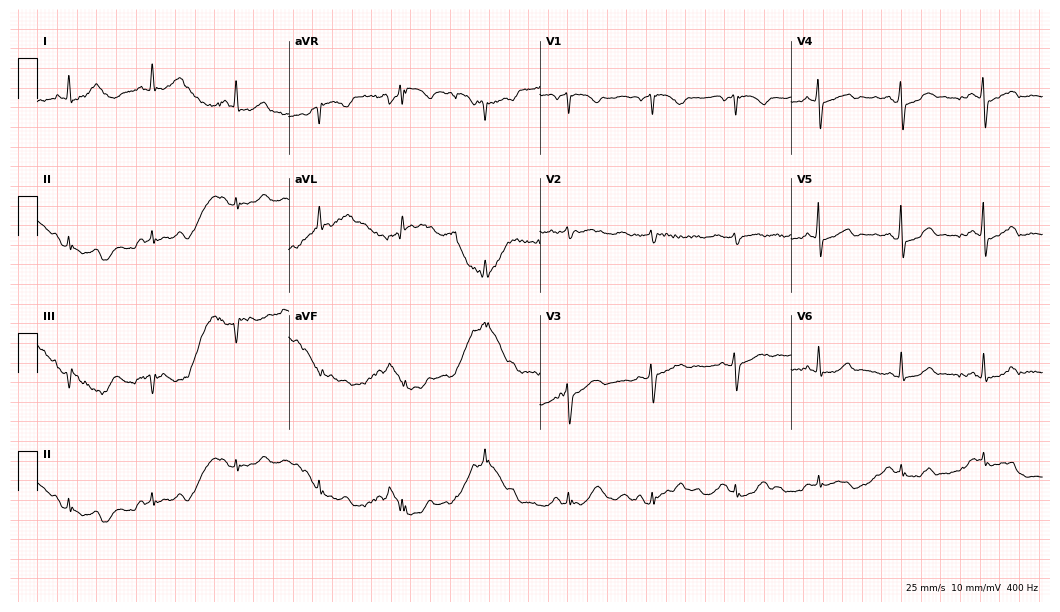
Standard 12-lead ECG recorded from a 66-year-old female patient. None of these six findings is recorded: first-degree AV block, right bundle branch block, left bundle branch block, sinus bradycardia, atrial fibrillation, sinus tachycardia. Only these six findings were labelled.